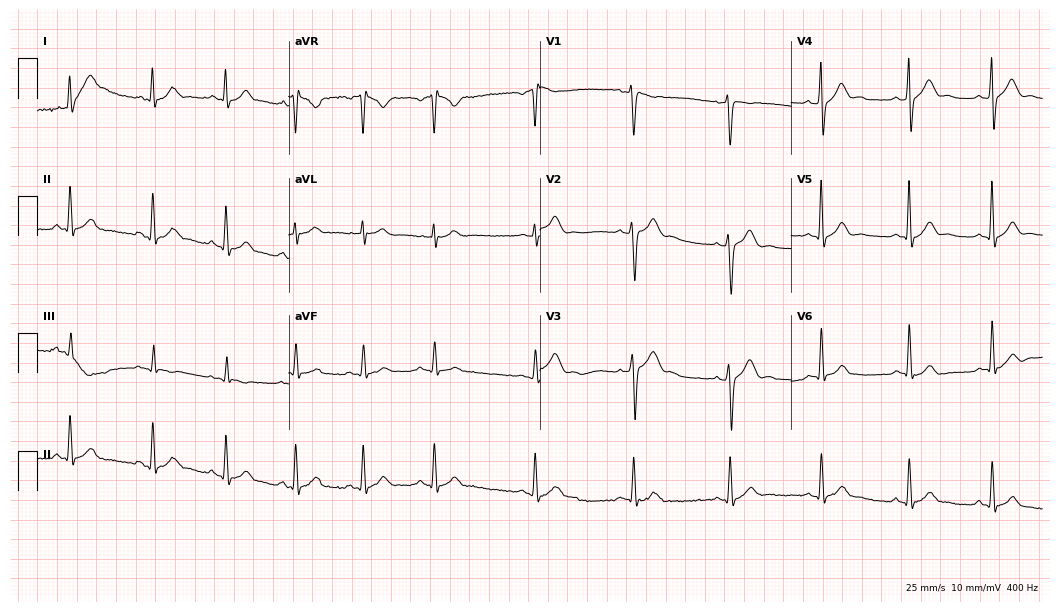
Electrocardiogram (10.2-second recording at 400 Hz), a 28-year-old man. Overall reading on record: normal ECG.